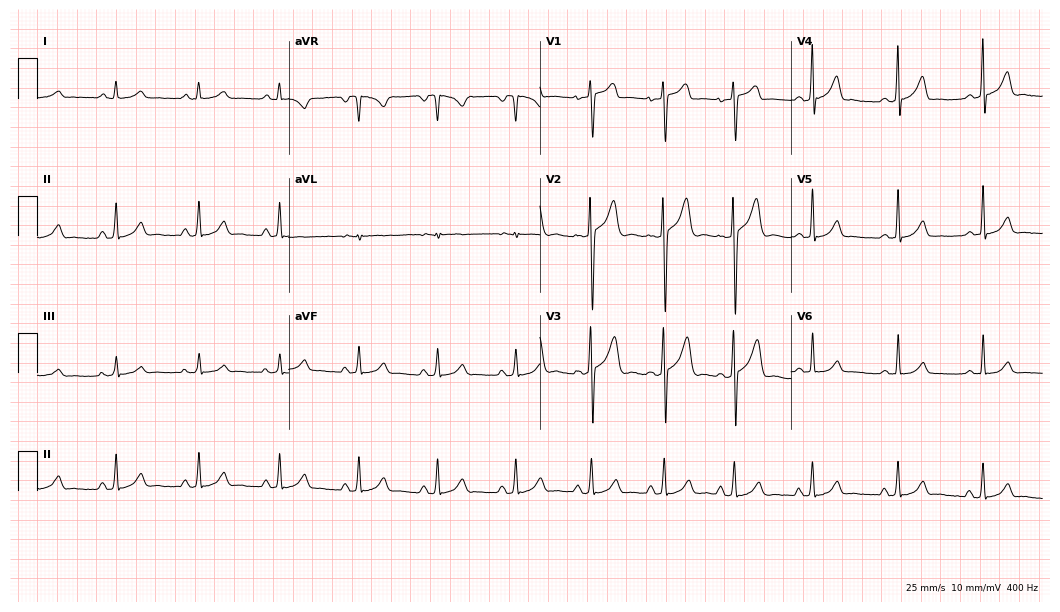
12-lead ECG from a male patient, 24 years old. Recorded interpretation: within normal limits.